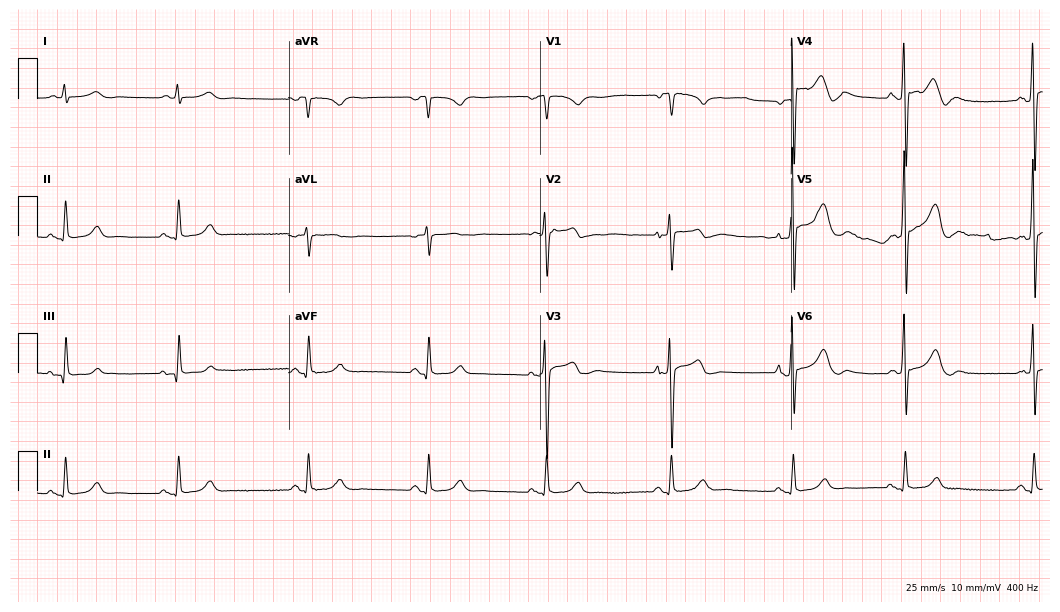
Resting 12-lead electrocardiogram. Patient: a male, 85 years old. None of these six findings is recorded: first-degree AV block, right bundle branch block (RBBB), left bundle branch block (LBBB), sinus bradycardia, atrial fibrillation (AF), sinus tachycardia. Findings outside these six are not listed.